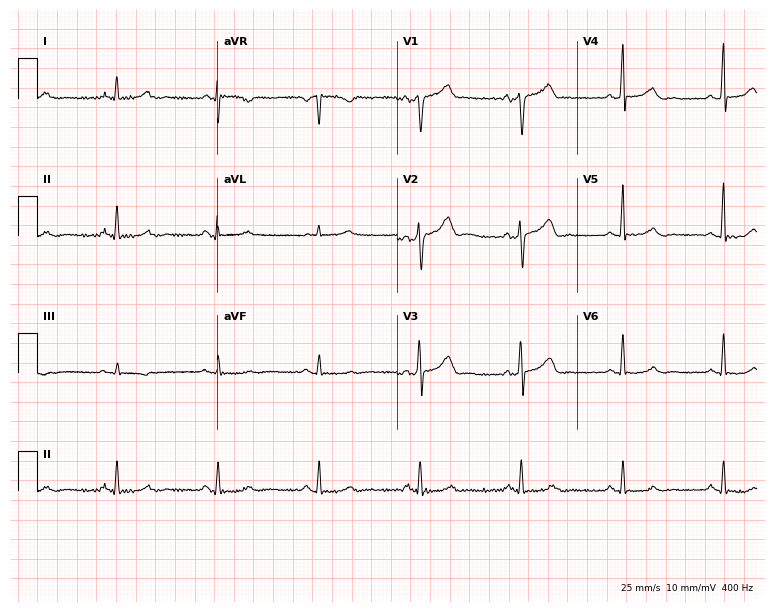
Resting 12-lead electrocardiogram. Patient: a male, 50 years old. Read as a normal ECG.